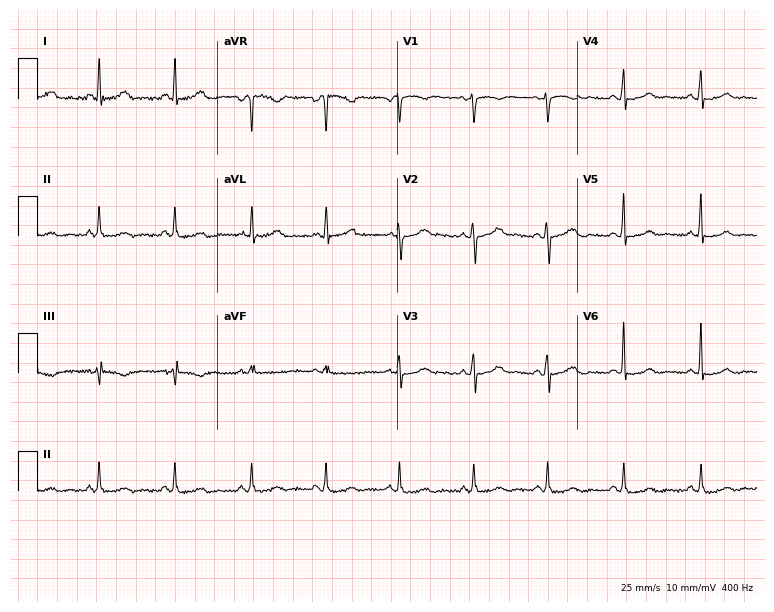
Standard 12-lead ECG recorded from a 49-year-old female patient (7.3-second recording at 400 Hz). None of these six findings is recorded: first-degree AV block, right bundle branch block, left bundle branch block, sinus bradycardia, atrial fibrillation, sinus tachycardia.